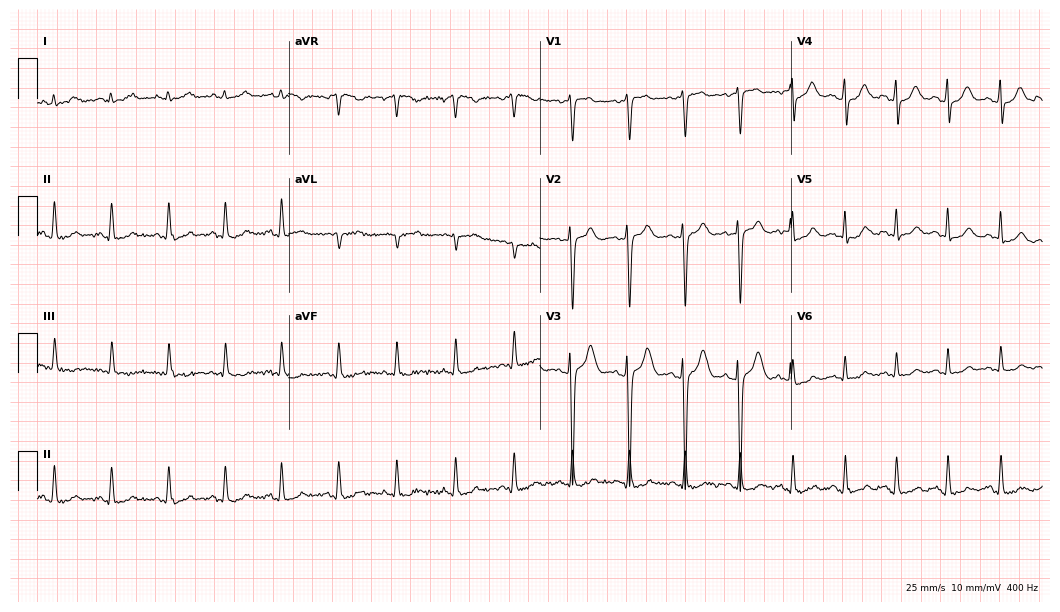
12-lead ECG from a 22-year-old female (10.2-second recording at 400 Hz). Shows sinus tachycardia (a sinus rate of 100 beats per minute or more).